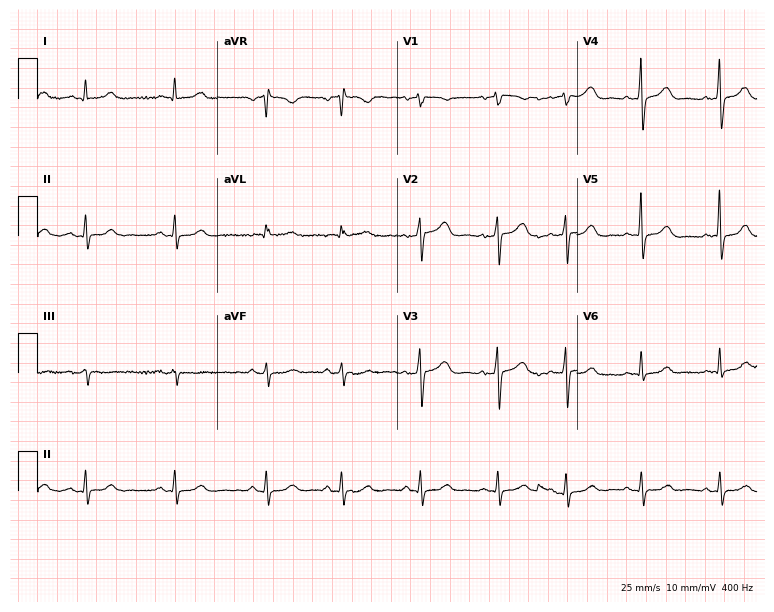
12-lead ECG from a woman, 81 years old. Recorded interpretation: within normal limits.